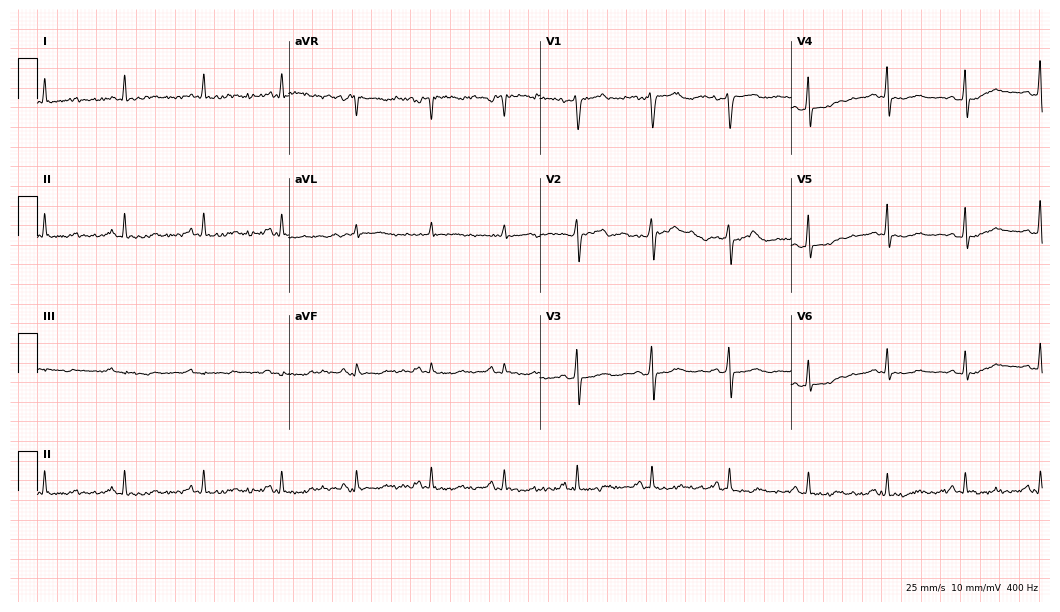
Resting 12-lead electrocardiogram (10.2-second recording at 400 Hz). Patient: a woman, 49 years old. None of these six findings is recorded: first-degree AV block, right bundle branch block, left bundle branch block, sinus bradycardia, atrial fibrillation, sinus tachycardia. Only these six findings were labelled.